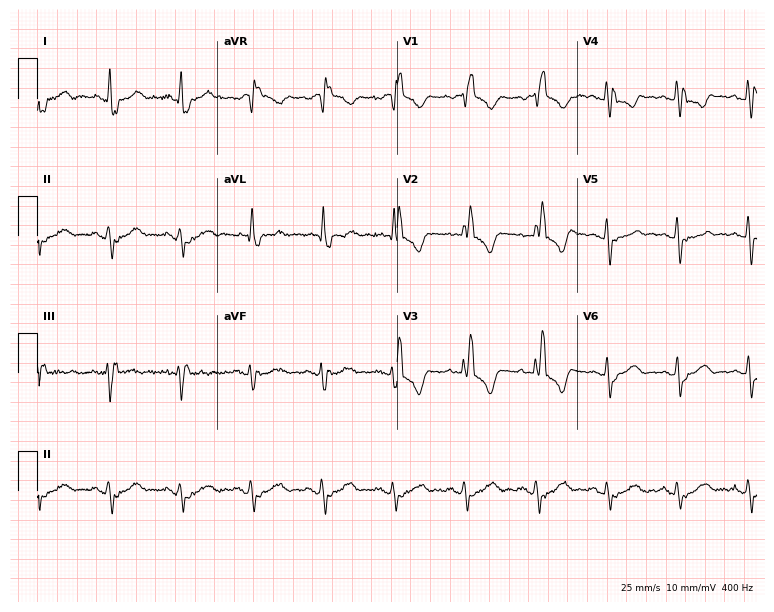
Resting 12-lead electrocardiogram. Patient: a female, 73 years old. The tracing shows right bundle branch block.